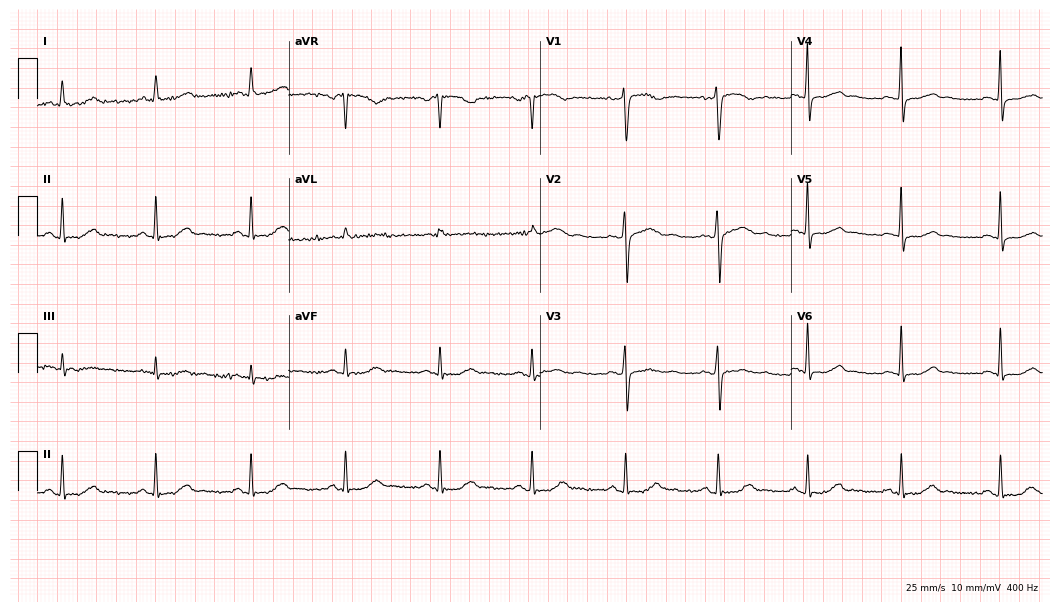
12-lead ECG from a female, 59 years old. Recorded interpretation: within normal limits.